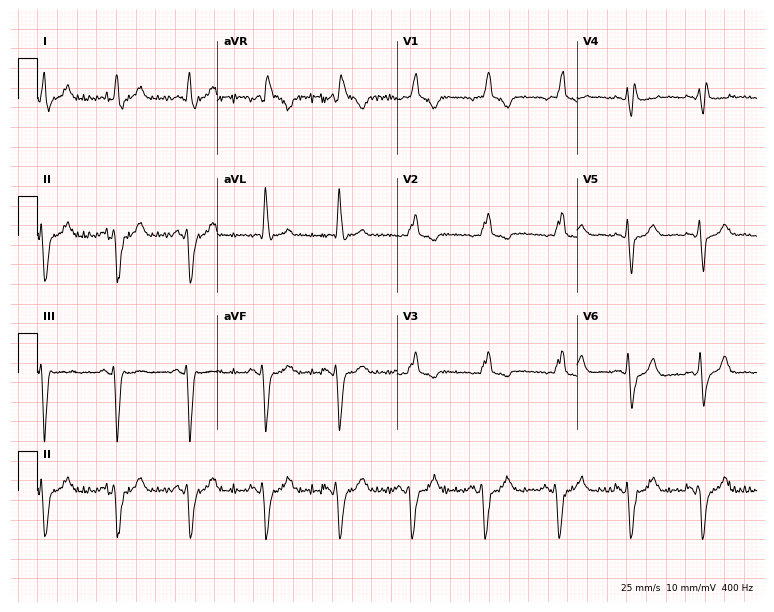
ECG (7.3-second recording at 400 Hz) — a man, 75 years old. Findings include right bundle branch block.